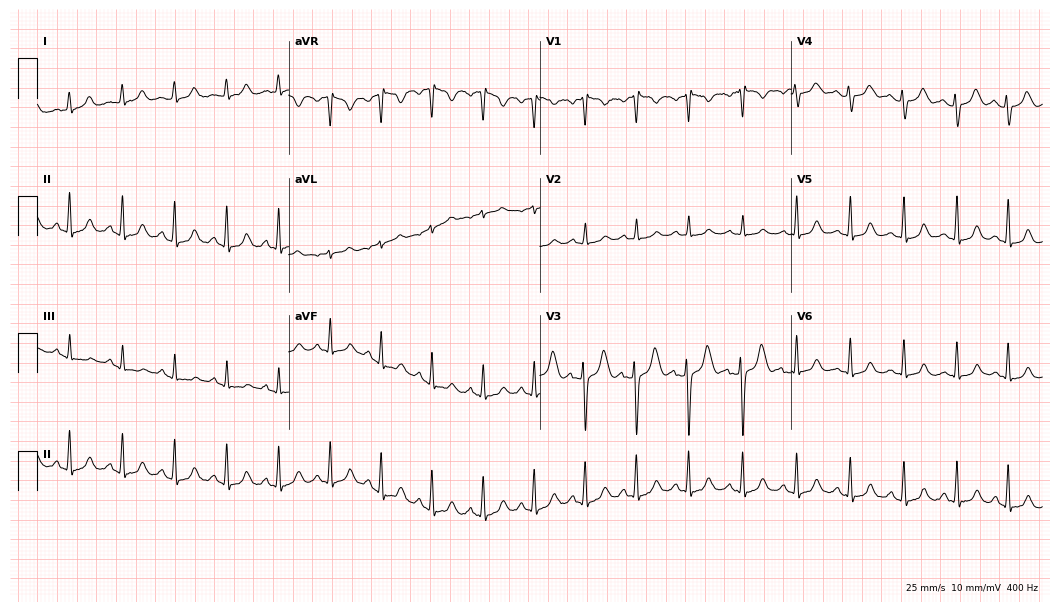
ECG (10.2-second recording at 400 Hz) — a female, 23 years old. Findings include sinus tachycardia (a sinus rate of 100 beats per minute or more).